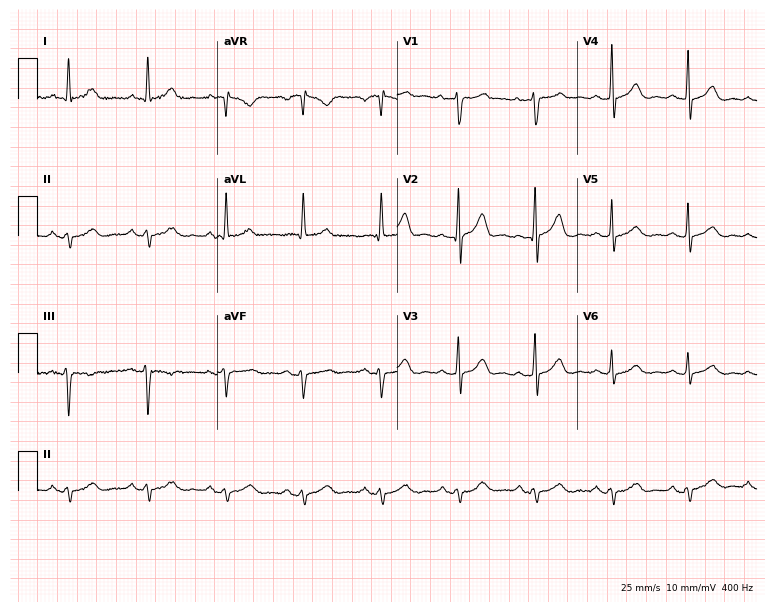
Resting 12-lead electrocardiogram. Patient: a 60-year-old man. None of these six findings is recorded: first-degree AV block, right bundle branch block, left bundle branch block, sinus bradycardia, atrial fibrillation, sinus tachycardia. Other findings, if any, are not listed.